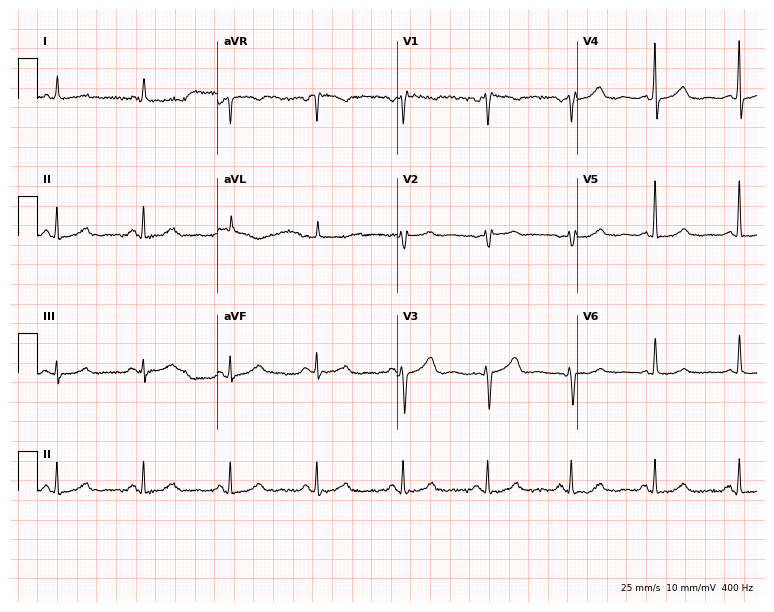
12-lead ECG from a female, 60 years old (7.3-second recording at 400 Hz). Recorded interpretation: within normal limits.